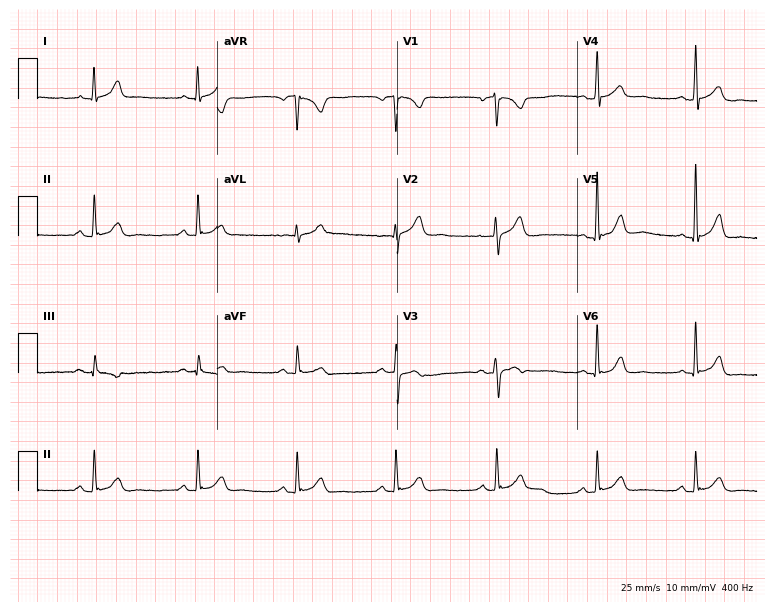
12-lead ECG from a man, 52 years old. Recorded interpretation: within normal limits.